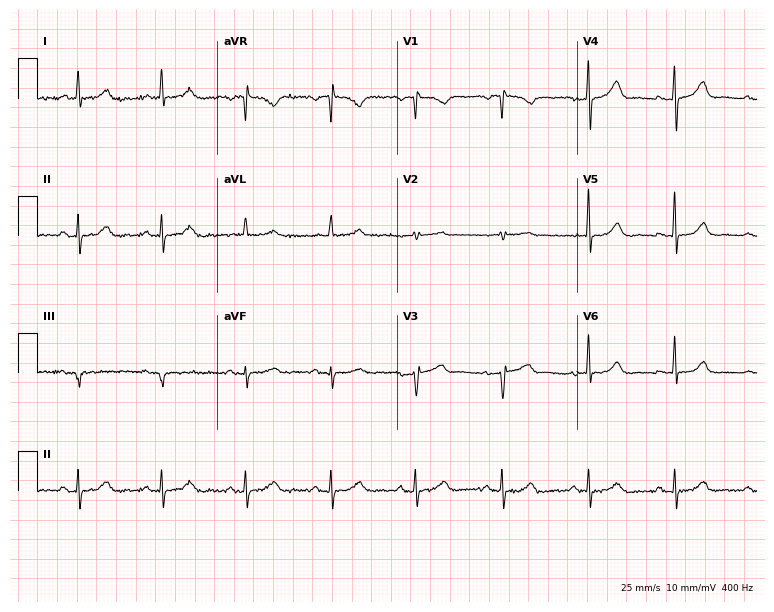
Electrocardiogram, a female, 65 years old. Of the six screened findings (first-degree AV block, right bundle branch block, left bundle branch block, sinus bradycardia, atrial fibrillation, sinus tachycardia), none is recorded.